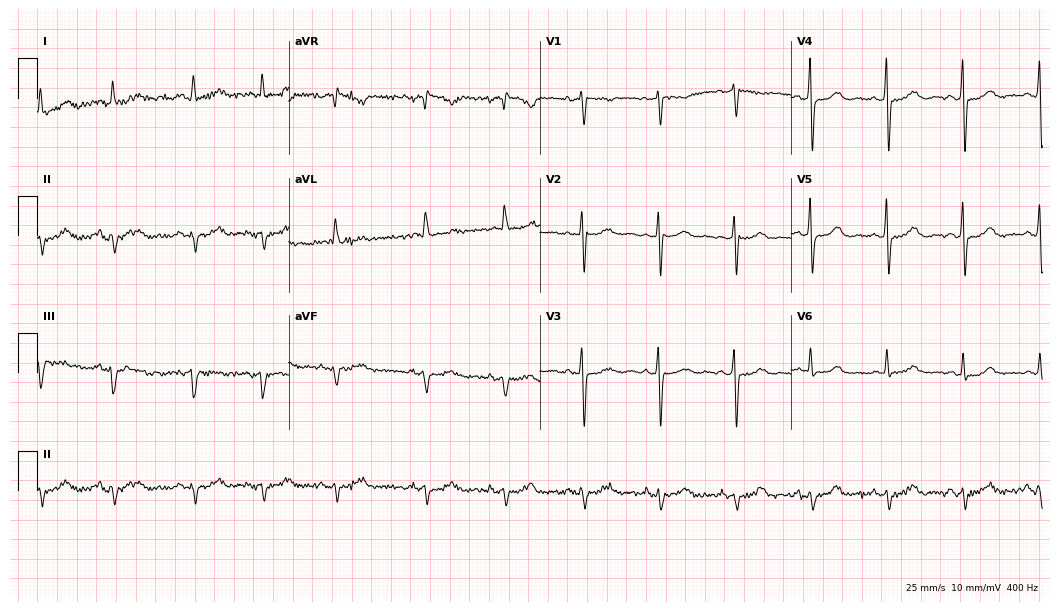
Resting 12-lead electrocardiogram (10.2-second recording at 400 Hz). Patient: a 69-year-old woman. None of these six findings is recorded: first-degree AV block, right bundle branch block, left bundle branch block, sinus bradycardia, atrial fibrillation, sinus tachycardia. Only these six findings were labelled.